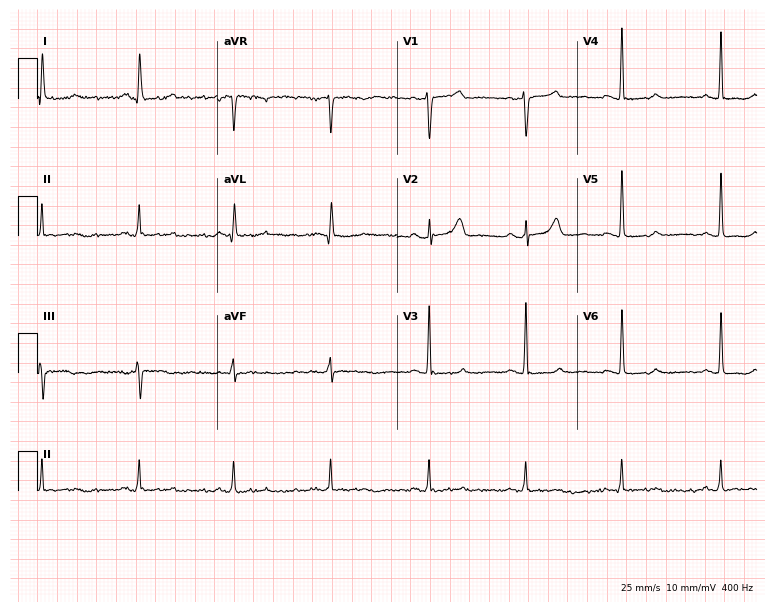
12-lead ECG from a female, 55 years old. No first-degree AV block, right bundle branch block, left bundle branch block, sinus bradycardia, atrial fibrillation or sinus tachycardia recorded for this tracing. Only these six findings were labelled.